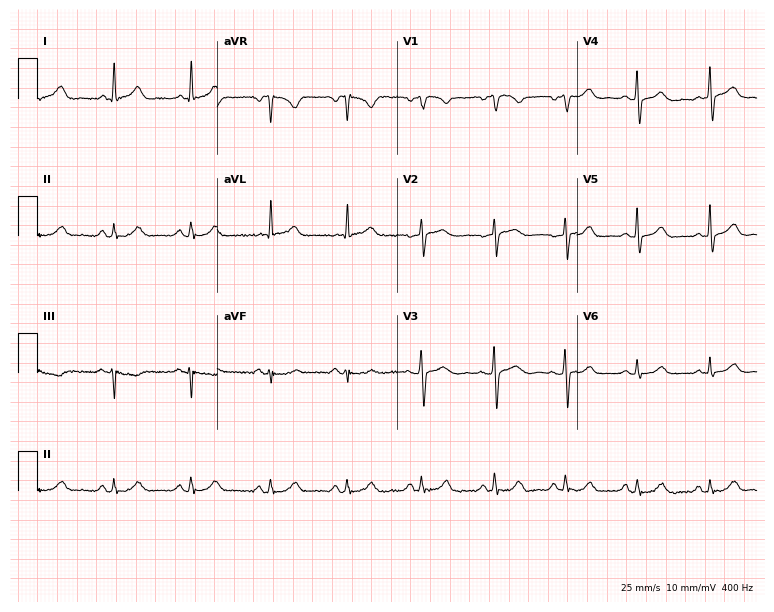
Resting 12-lead electrocardiogram. Patient: a 48-year-old female. Read as a normal ECG.